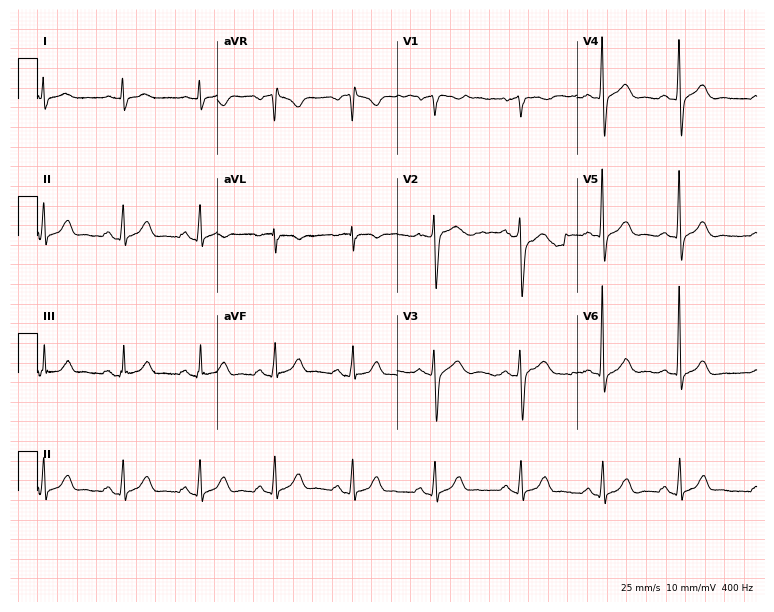
ECG — a male, 47 years old. Screened for six findings — first-degree AV block, right bundle branch block (RBBB), left bundle branch block (LBBB), sinus bradycardia, atrial fibrillation (AF), sinus tachycardia — none is recorded.